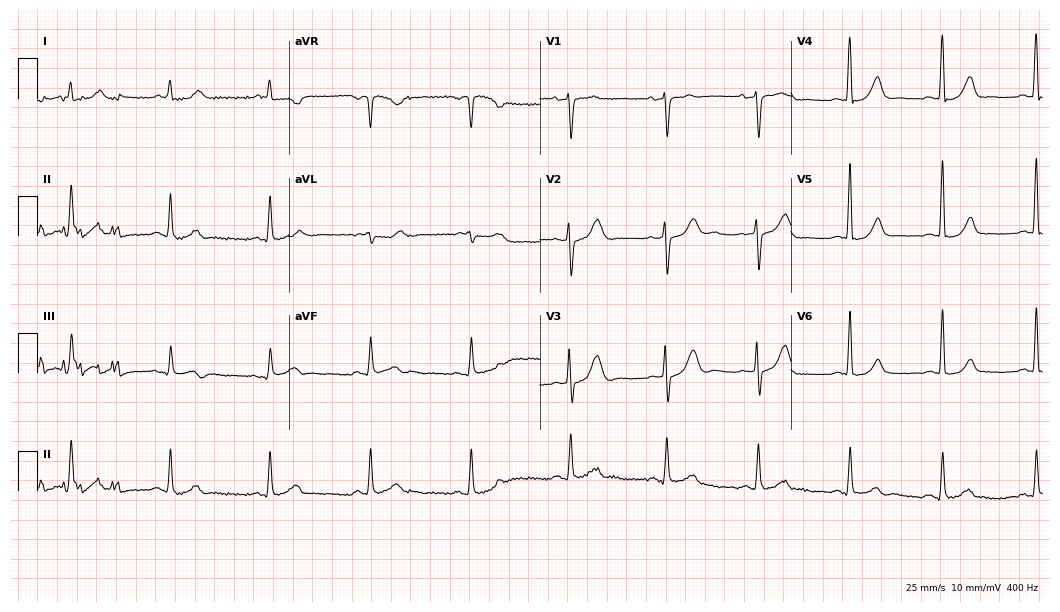
ECG (10.2-second recording at 400 Hz) — a 56-year-old male patient. Screened for six findings — first-degree AV block, right bundle branch block (RBBB), left bundle branch block (LBBB), sinus bradycardia, atrial fibrillation (AF), sinus tachycardia — none is recorded. Only these six findings were labelled.